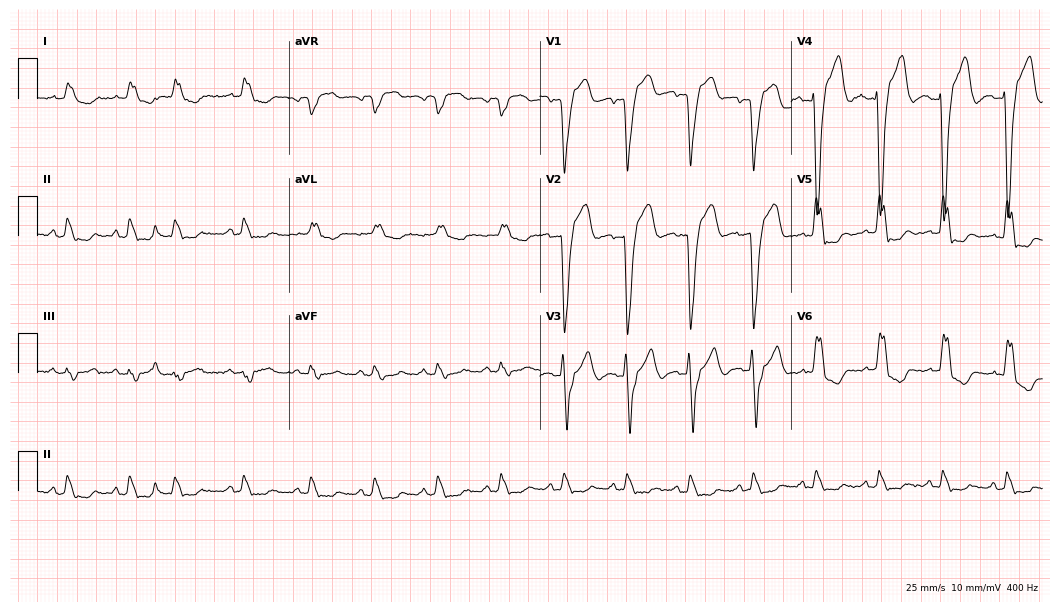
Resting 12-lead electrocardiogram (10.2-second recording at 400 Hz). Patient: a male, 67 years old. None of these six findings is recorded: first-degree AV block, right bundle branch block, left bundle branch block, sinus bradycardia, atrial fibrillation, sinus tachycardia. Findings outside these six are not listed.